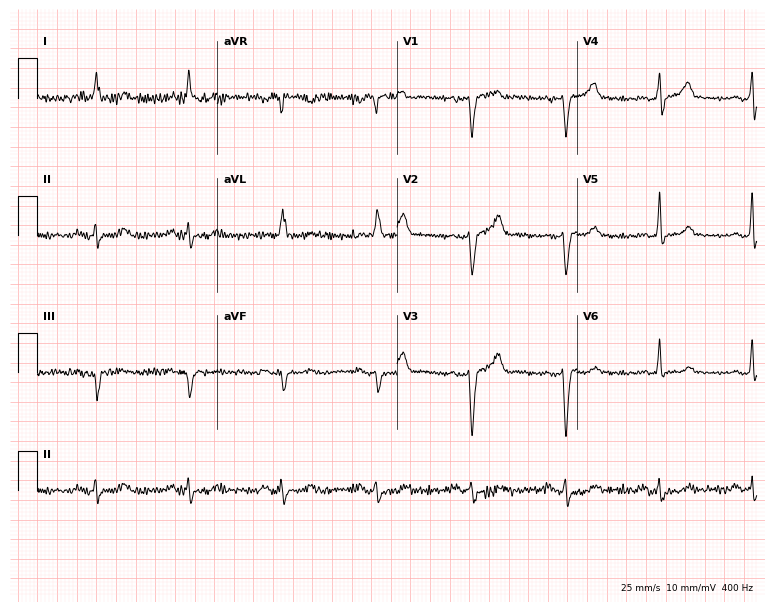
Electrocardiogram, a 76-year-old male. Of the six screened findings (first-degree AV block, right bundle branch block (RBBB), left bundle branch block (LBBB), sinus bradycardia, atrial fibrillation (AF), sinus tachycardia), none is recorded.